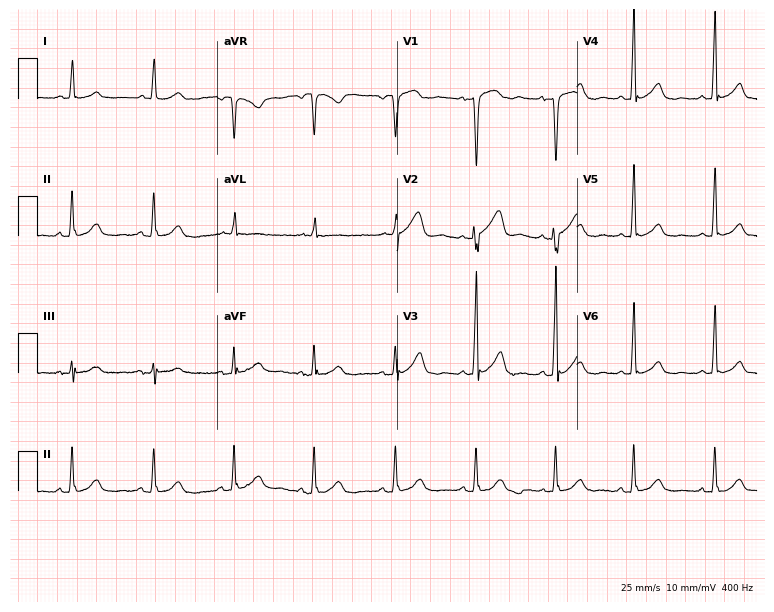
12-lead ECG from a female, 53 years old (7.3-second recording at 400 Hz). No first-degree AV block, right bundle branch block, left bundle branch block, sinus bradycardia, atrial fibrillation or sinus tachycardia recorded for this tracing. Findings outside these six are not listed.